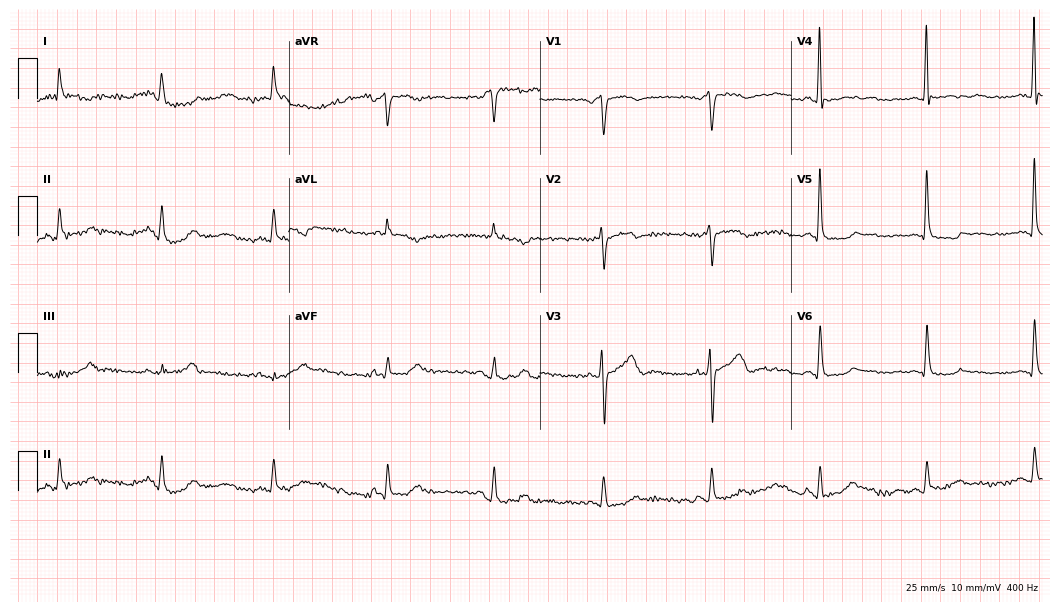
Standard 12-lead ECG recorded from a male, 77 years old (10.2-second recording at 400 Hz). None of these six findings is recorded: first-degree AV block, right bundle branch block, left bundle branch block, sinus bradycardia, atrial fibrillation, sinus tachycardia.